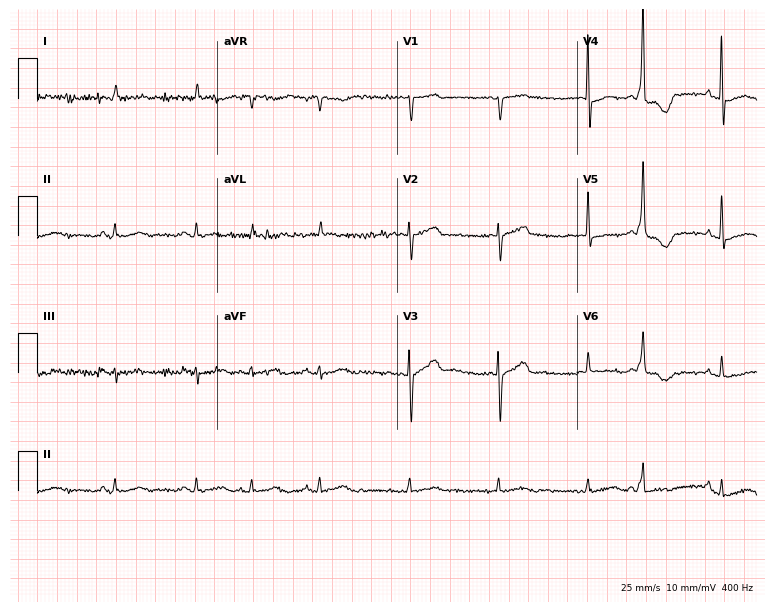
12-lead ECG from a man, 84 years old (7.3-second recording at 400 Hz). No first-degree AV block, right bundle branch block, left bundle branch block, sinus bradycardia, atrial fibrillation or sinus tachycardia recorded for this tracing. Other findings, if any, are not listed.